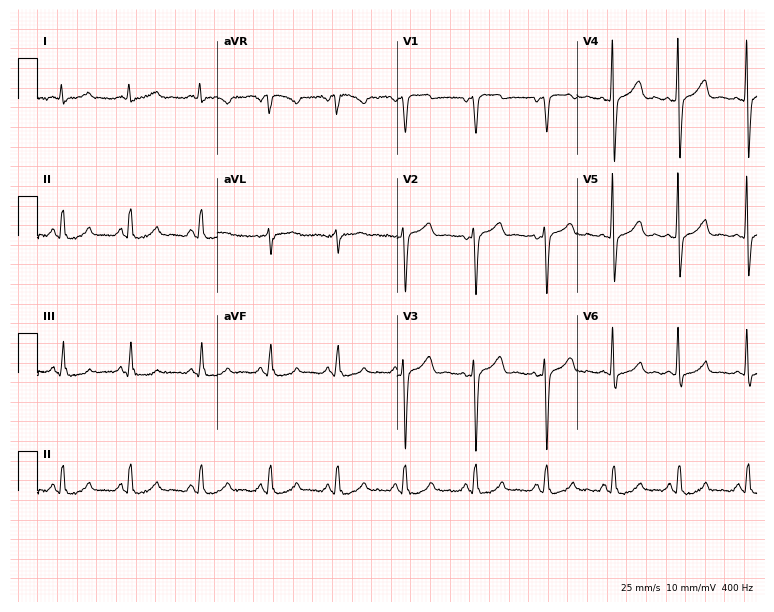
Electrocardiogram, a woman, 54 years old. Of the six screened findings (first-degree AV block, right bundle branch block, left bundle branch block, sinus bradycardia, atrial fibrillation, sinus tachycardia), none is recorded.